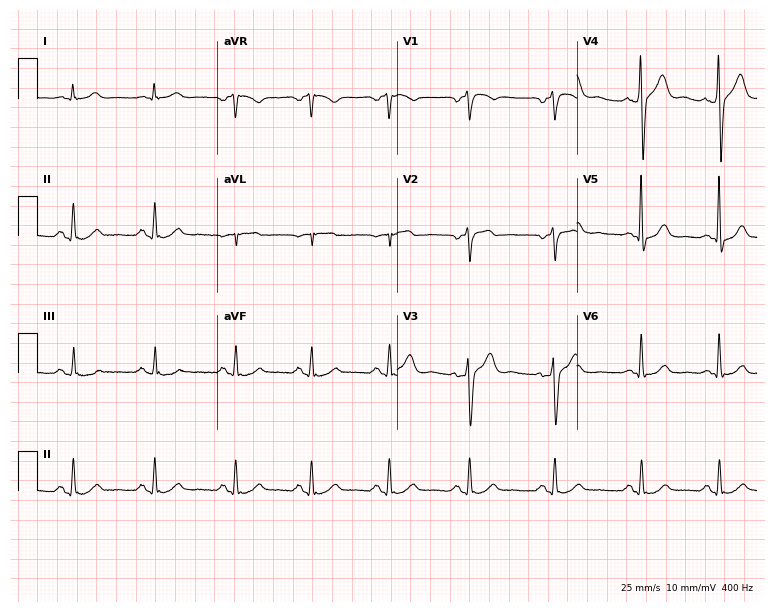
Standard 12-lead ECG recorded from a 46-year-old man. Read as a normal ECG.